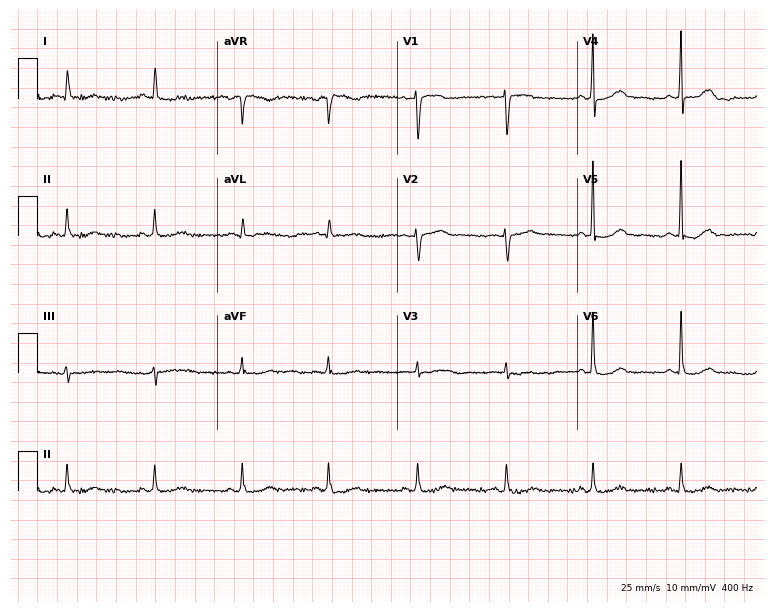
Resting 12-lead electrocardiogram (7.3-second recording at 400 Hz). Patient: a 62-year-old female. Read as a normal ECG.